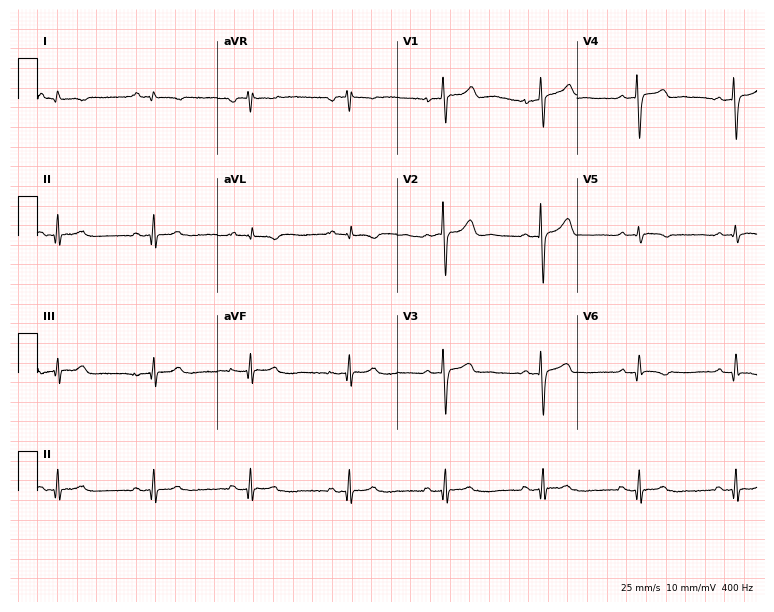
ECG — a man, 39 years old. Screened for six findings — first-degree AV block, right bundle branch block, left bundle branch block, sinus bradycardia, atrial fibrillation, sinus tachycardia — none is recorded.